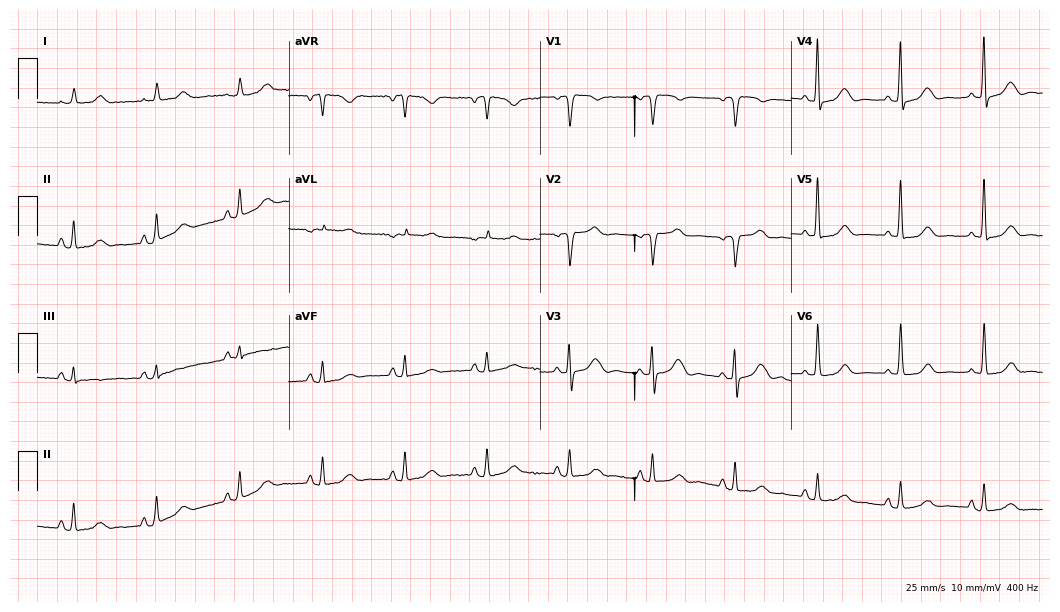
Standard 12-lead ECG recorded from an 82-year-old female. None of these six findings is recorded: first-degree AV block, right bundle branch block, left bundle branch block, sinus bradycardia, atrial fibrillation, sinus tachycardia.